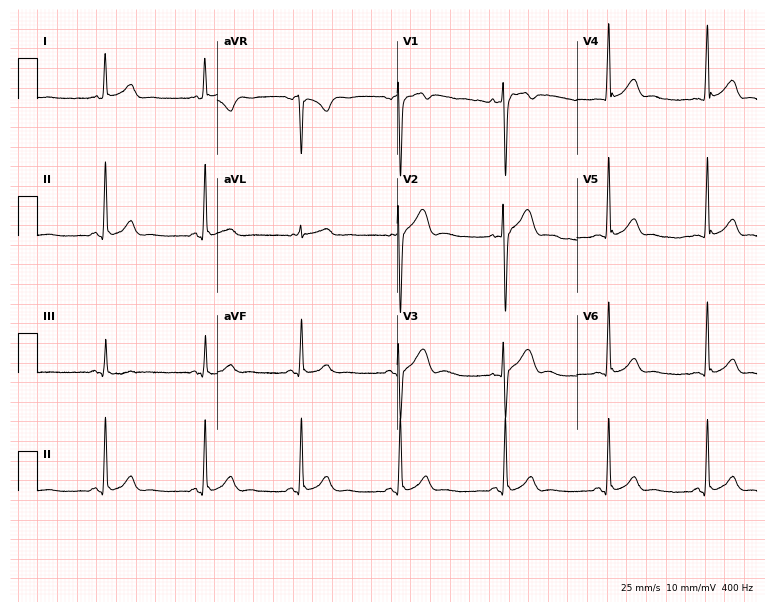
12-lead ECG from a 28-year-old male patient (7.3-second recording at 400 Hz). Recorded interpretation: within normal limits.